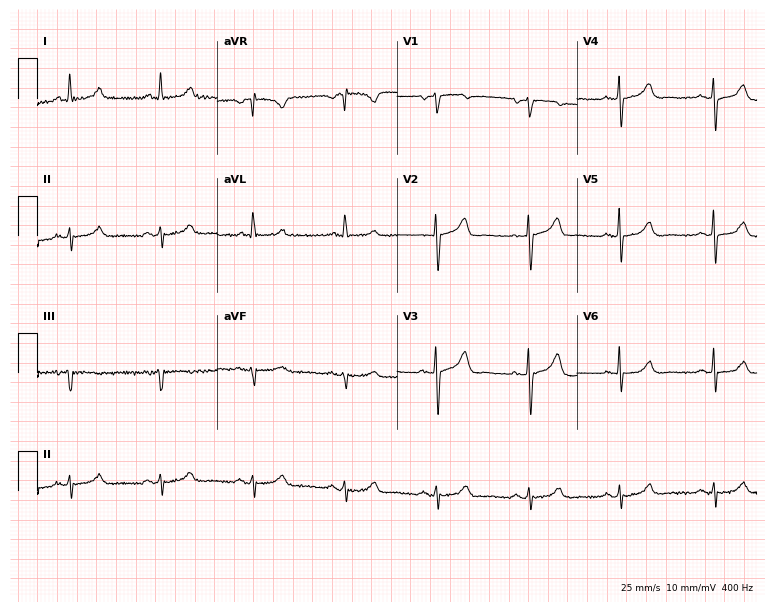
ECG (7.3-second recording at 400 Hz) — a 79-year-old female patient. Screened for six findings — first-degree AV block, right bundle branch block (RBBB), left bundle branch block (LBBB), sinus bradycardia, atrial fibrillation (AF), sinus tachycardia — none is recorded.